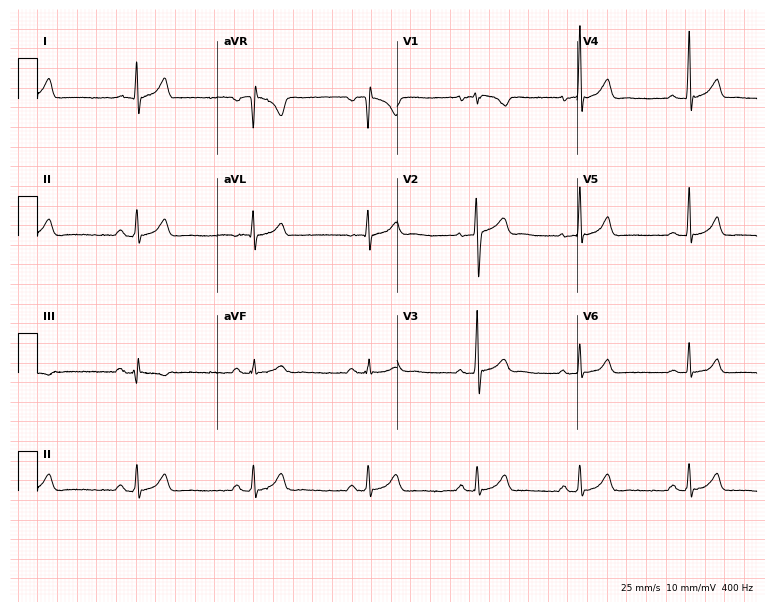
12-lead ECG (7.3-second recording at 400 Hz) from a 33-year-old man. Screened for six findings — first-degree AV block, right bundle branch block, left bundle branch block, sinus bradycardia, atrial fibrillation, sinus tachycardia — none is recorded. Other findings, if any, are not listed.